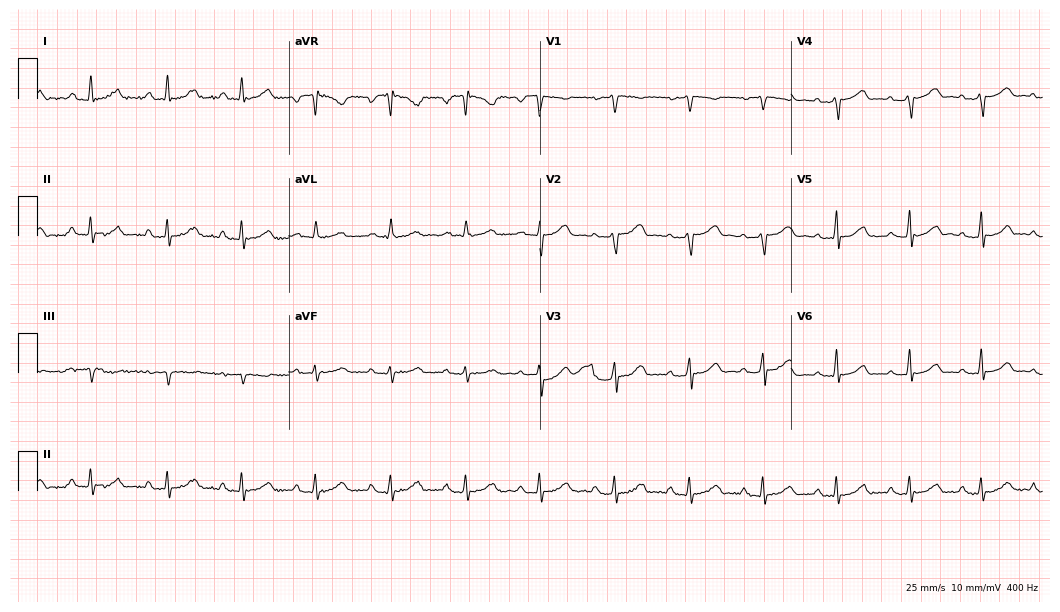
12-lead ECG (10.2-second recording at 400 Hz) from a 43-year-old female. Labelled as a normal ECG.